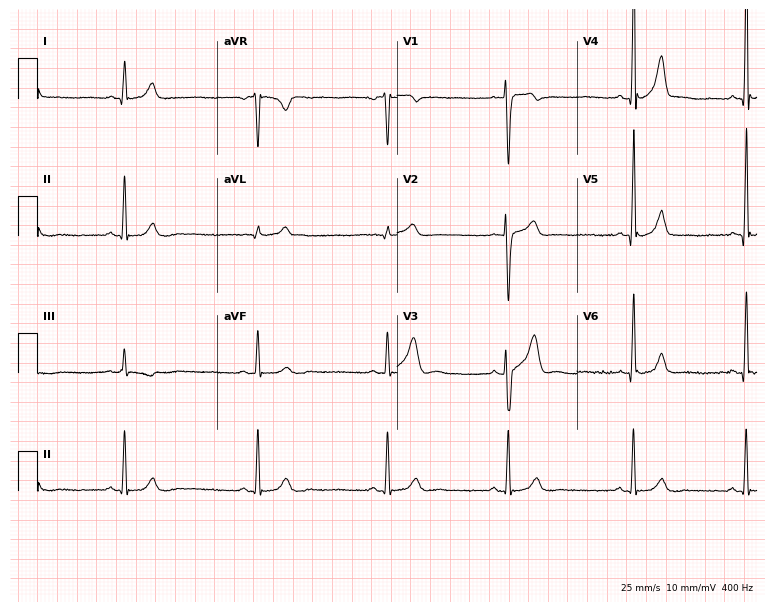
12-lead ECG from a 30-year-old male patient. No first-degree AV block, right bundle branch block, left bundle branch block, sinus bradycardia, atrial fibrillation or sinus tachycardia recorded for this tracing. Only these six findings were labelled.